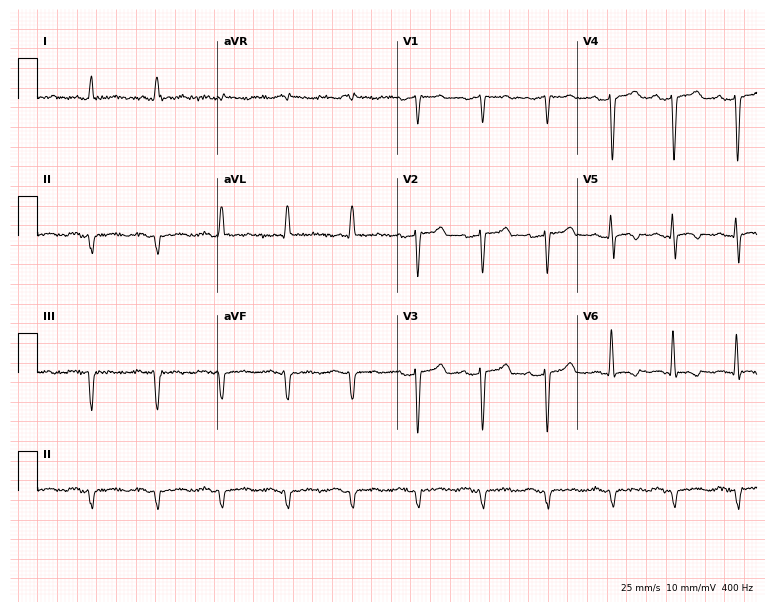
12-lead ECG (7.3-second recording at 400 Hz) from a man, 72 years old. Screened for six findings — first-degree AV block, right bundle branch block, left bundle branch block, sinus bradycardia, atrial fibrillation, sinus tachycardia — none is recorded.